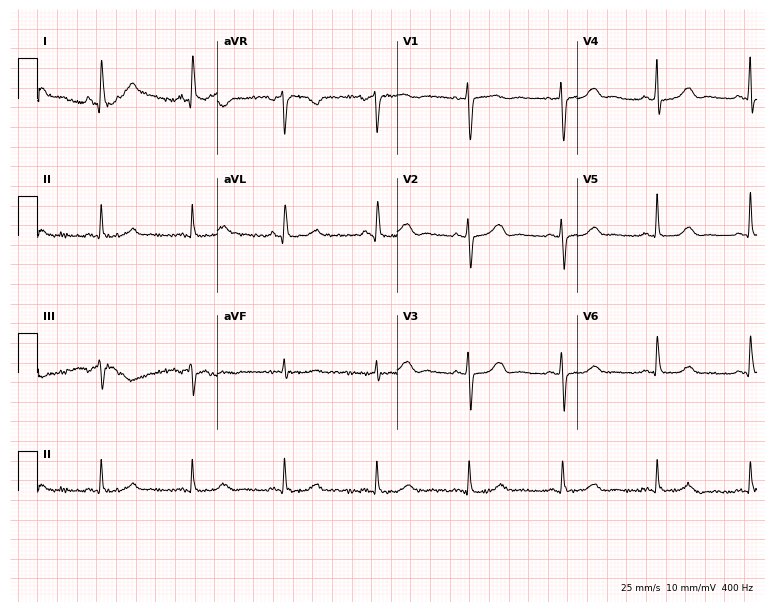
12-lead ECG from a 68-year-old female (7.3-second recording at 400 Hz). No first-degree AV block, right bundle branch block, left bundle branch block, sinus bradycardia, atrial fibrillation or sinus tachycardia recorded for this tracing. Only these six findings were labelled.